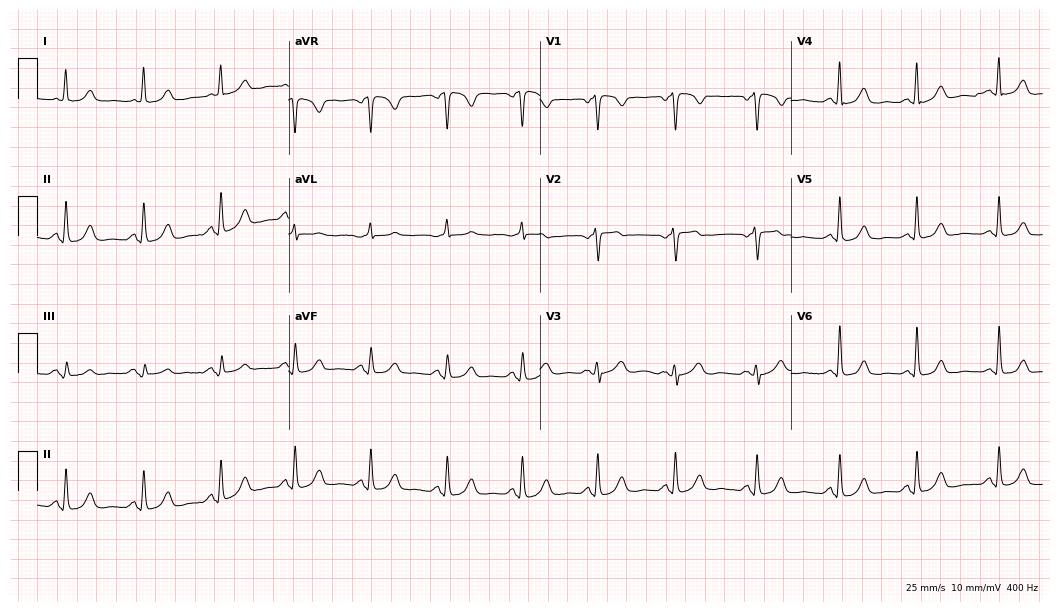
ECG — a female patient, 62 years old. Screened for six findings — first-degree AV block, right bundle branch block (RBBB), left bundle branch block (LBBB), sinus bradycardia, atrial fibrillation (AF), sinus tachycardia — none is recorded. Only these six findings were labelled.